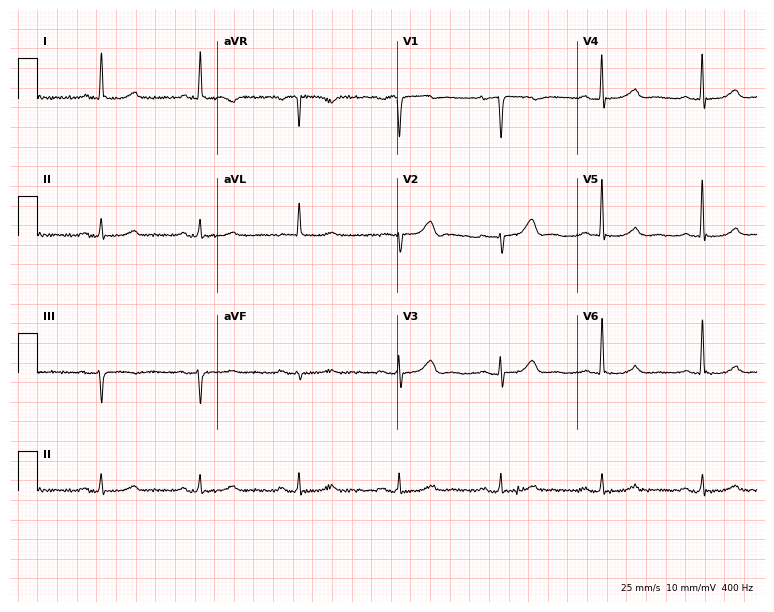
Standard 12-lead ECG recorded from a male patient, 85 years old. Read as a normal ECG.